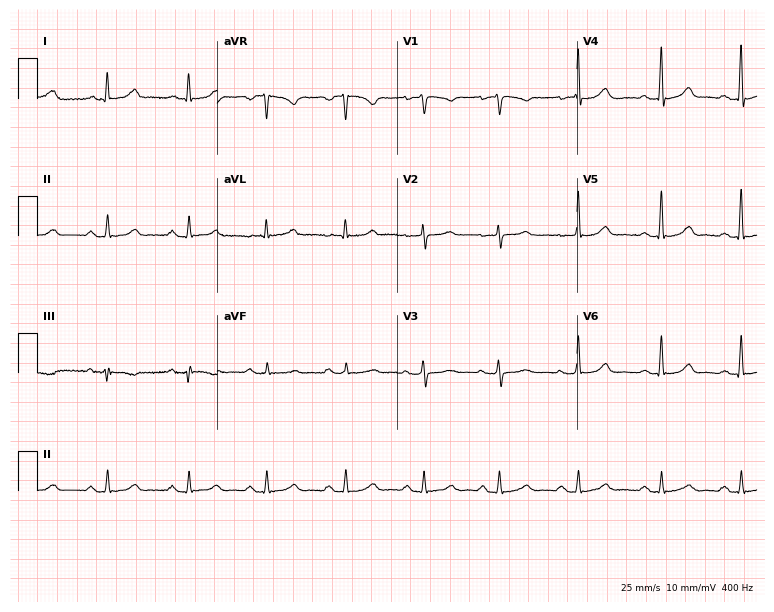
12-lead ECG from a 55-year-old woman. No first-degree AV block, right bundle branch block (RBBB), left bundle branch block (LBBB), sinus bradycardia, atrial fibrillation (AF) or sinus tachycardia recorded for this tracing. Only these six findings were labelled.